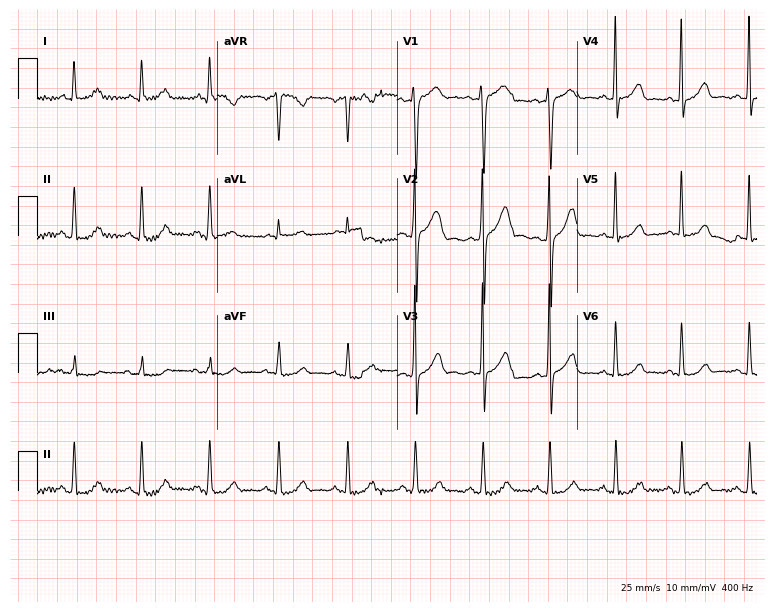
12-lead ECG (7.3-second recording at 400 Hz) from a 50-year-old man. Screened for six findings — first-degree AV block, right bundle branch block, left bundle branch block, sinus bradycardia, atrial fibrillation, sinus tachycardia — none is recorded.